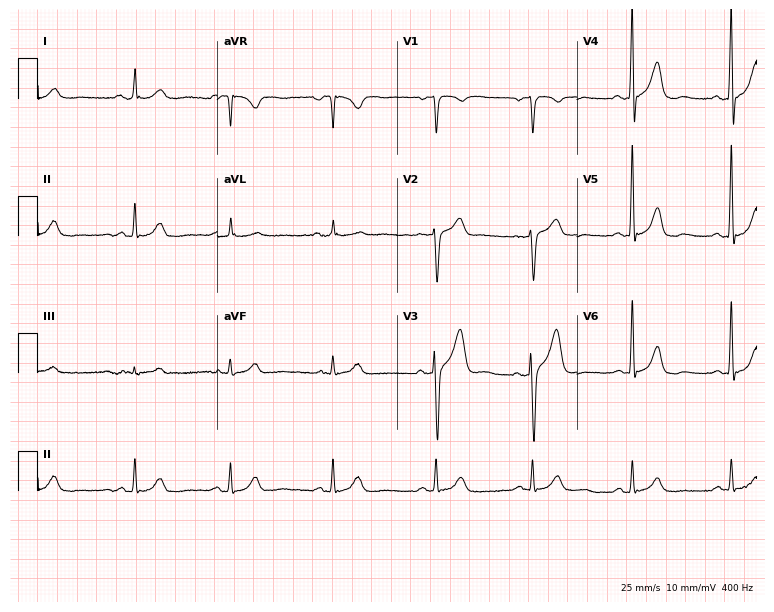
Resting 12-lead electrocardiogram (7.3-second recording at 400 Hz). Patient: a 63-year-old female. Read as a normal ECG.